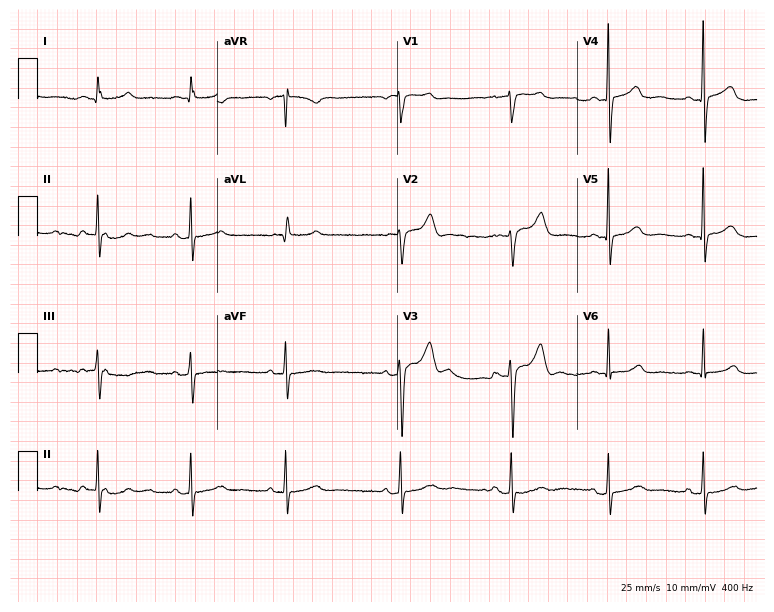
Electrocardiogram (7.3-second recording at 400 Hz), an 85-year-old female. Overall reading on record: normal ECG.